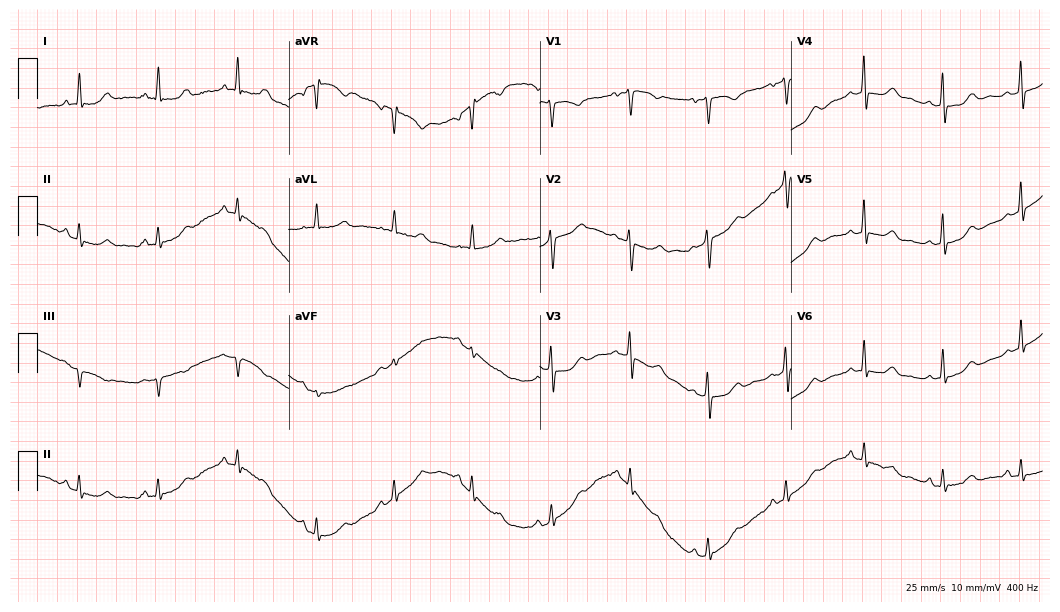
Standard 12-lead ECG recorded from a woman, 65 years old (10.2-second recording at 400 Hz). Read as a normal ECG.